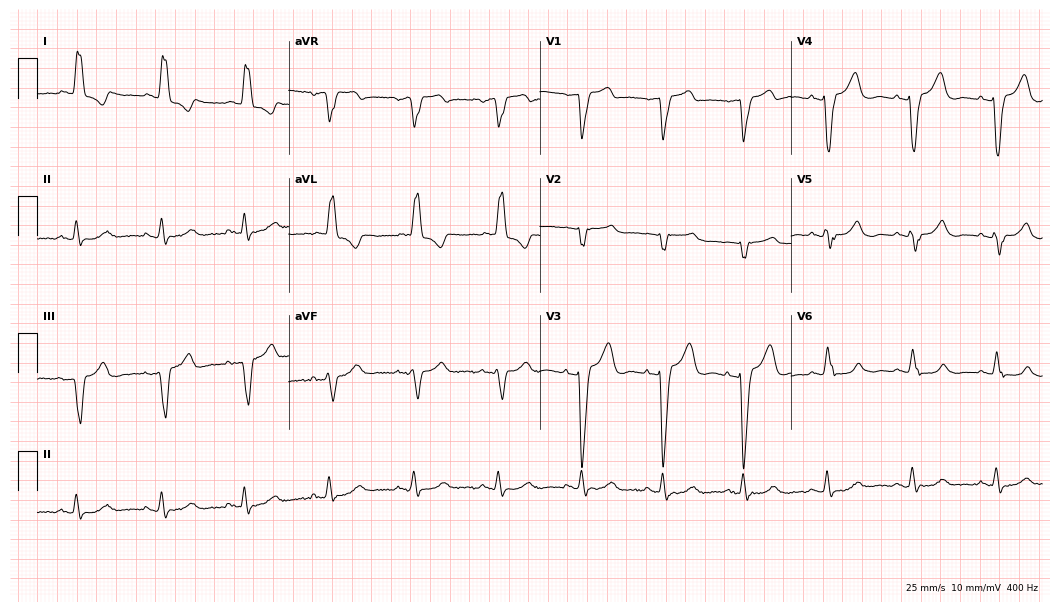
ECG — an 86-year-old woman. Findings include left bundle branch block (LBBB).